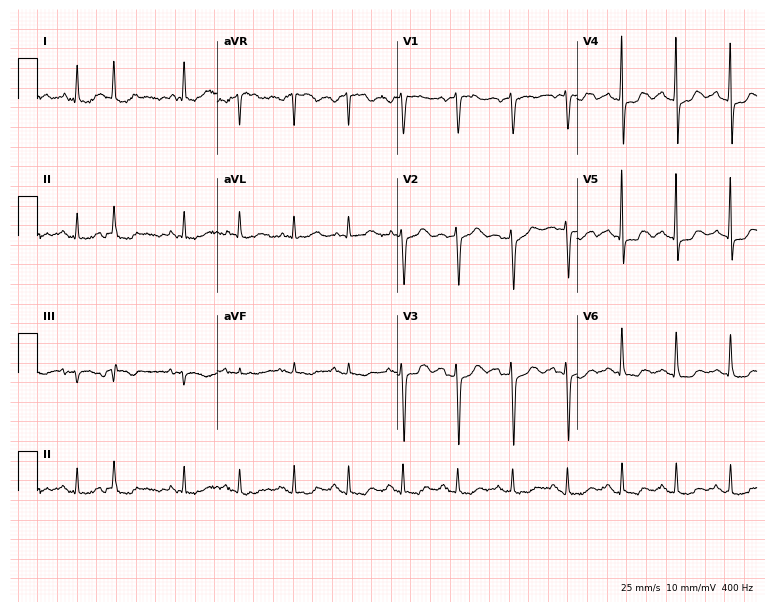
12-lead ECG (7.3-second recording at 400 Hz) from an 82-year-old woman. Findings include sinus tachycardia (a sinus rate of 100 beats per minute or more).